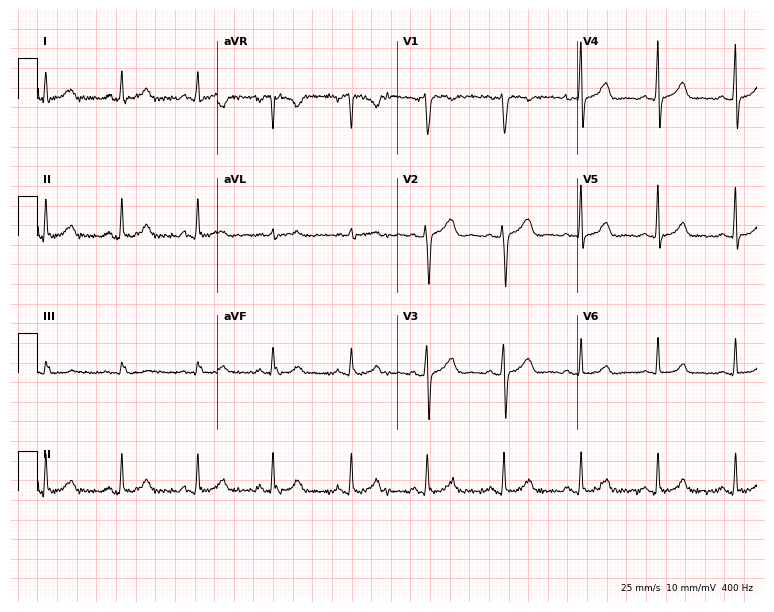
Resting 12-lead electrocardiogram (7.3-second recording at 400 Hz). Patient: a female, 43 years old. None of these six findings is recorded: first-degree AV block, right bundle branch block (RBBB), left bundle branch block (LBBB), sinus bradycardia, atrial fibrillation (AF), sinus tachycardia.